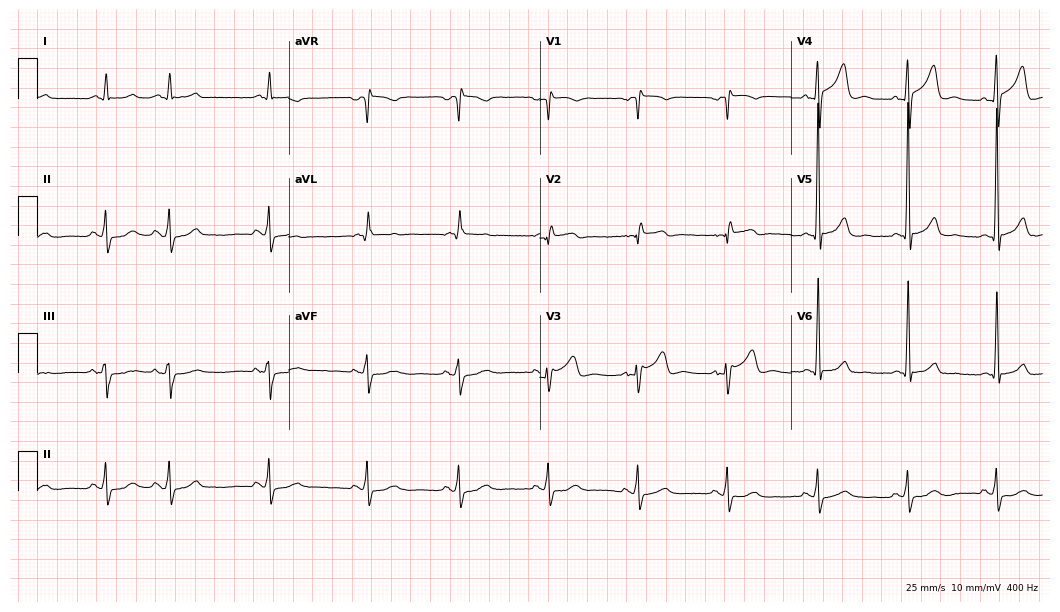
12-lead ECG from a male patient, 70 years old. Screened for six findings — first-degree AV block, right bundle branch block, left bundle branch block, sinus bradycardia, atrial fibrillation, sinus tachycardia — none is recorded.